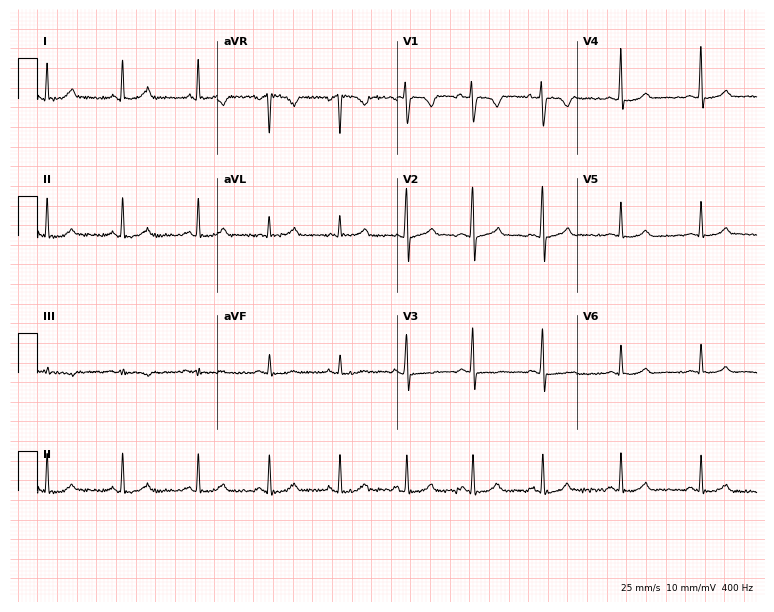
ECG (7.3-second recording at 400 Hz) — a female, 37 years old. Labelled as a normal ECG.